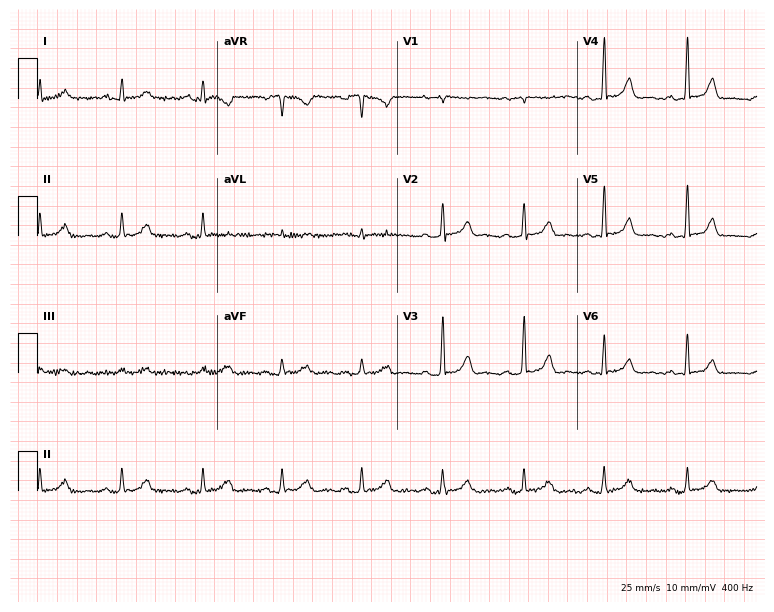
Standard 12-lead ECG recorded from a 51-year-old male (7.3-second recording at 400 Hz). Read as a normal ECG.